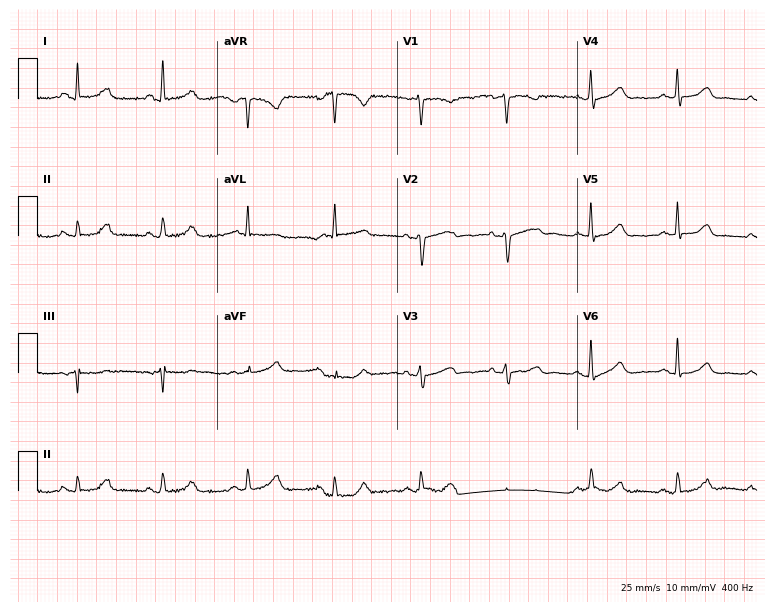
Electrocardiogram (7.3-second recording at 400 Hz), a 49-year-old woman. Overall reading on record: normal ECG.